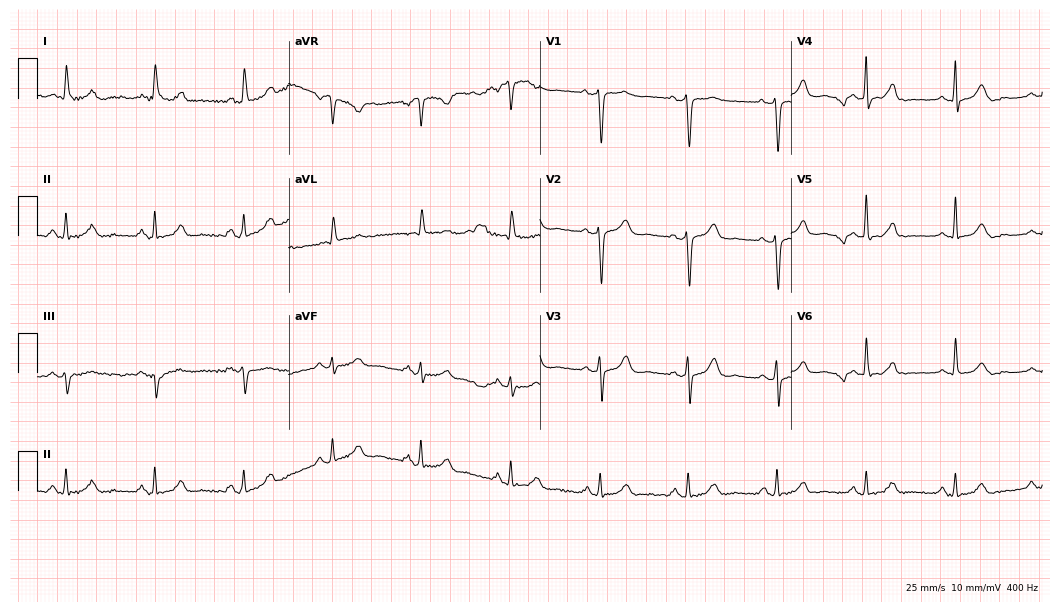
12-lead ECG from a female patient, 67 years old. Labelled as a normal ECG.